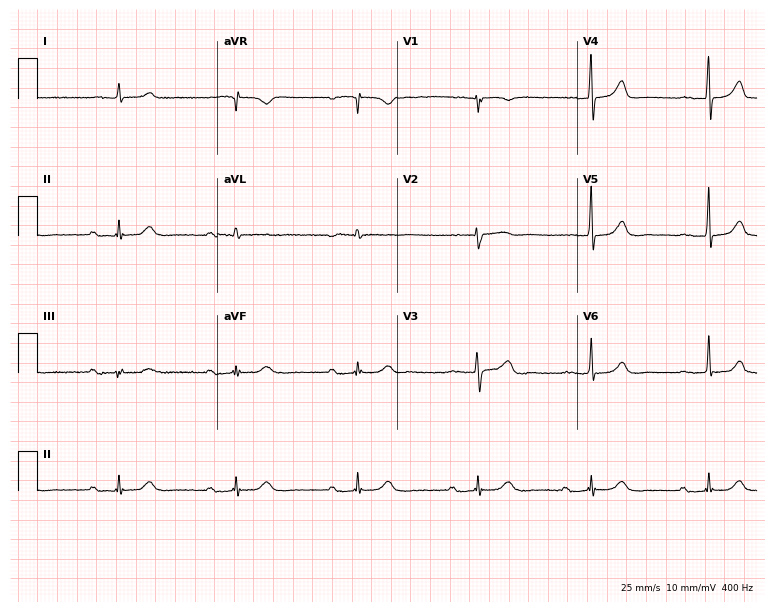
ECG — a male, 80 years old. Findings include sinus bradycardia (a sinus rate of 50 beats per minute or less).